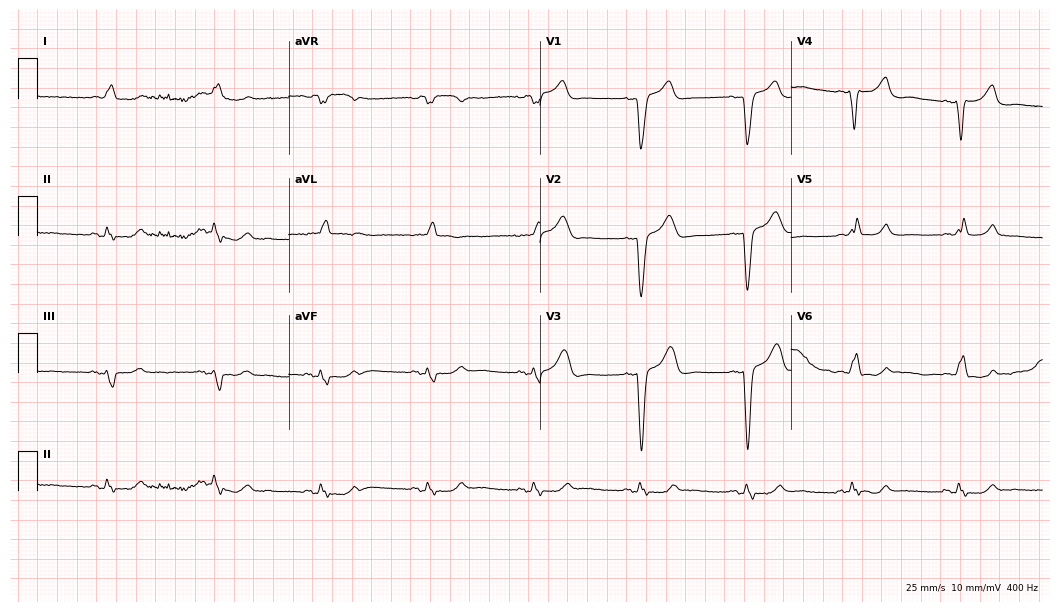
12-lead ECG (10.2-second recording at 400 Hz) from a 72-year-old male patient. Findings include left bundle branch block (LBBB).